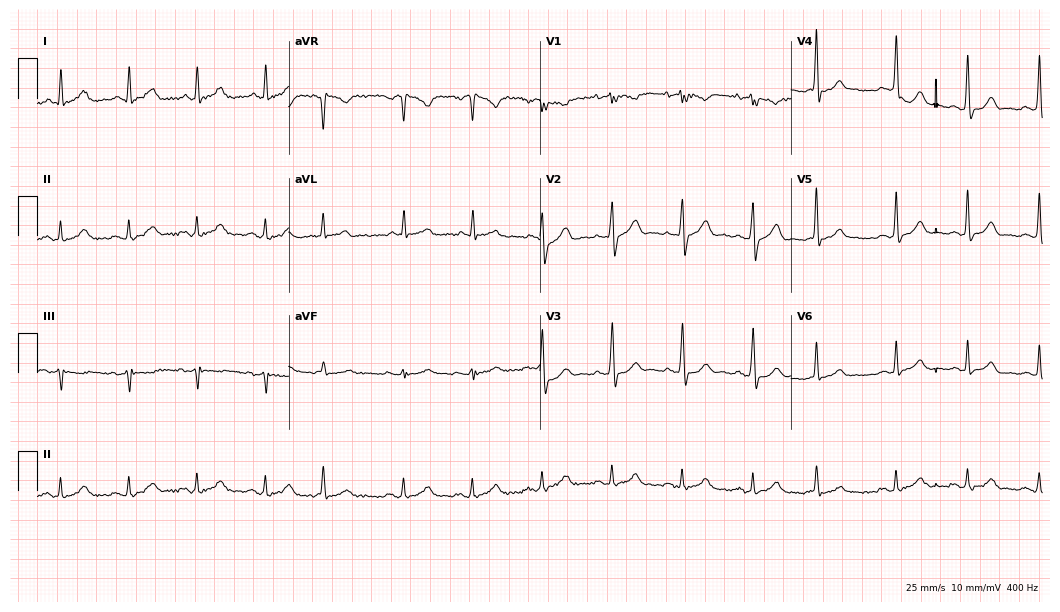
12-lead ECG from a 64-year-old man. Recorded interpretation: within normal limits.